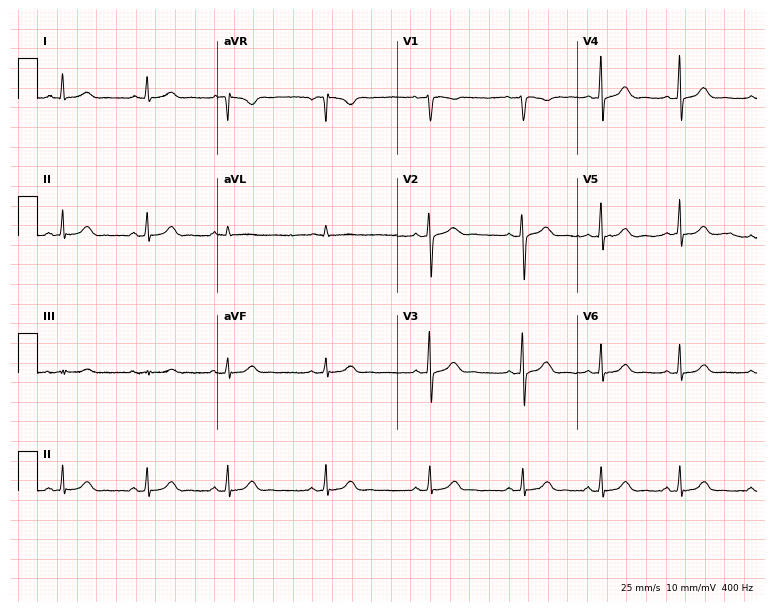
12-lead ECG from a female, 32 years old. Screened for six findings — first-degree AV block, right bundle branch block (RBBB), left bundle branch block (LBBB), sinus bradycardia, atrial fibrillation (AF), sinus tachycardia — none is recorded.